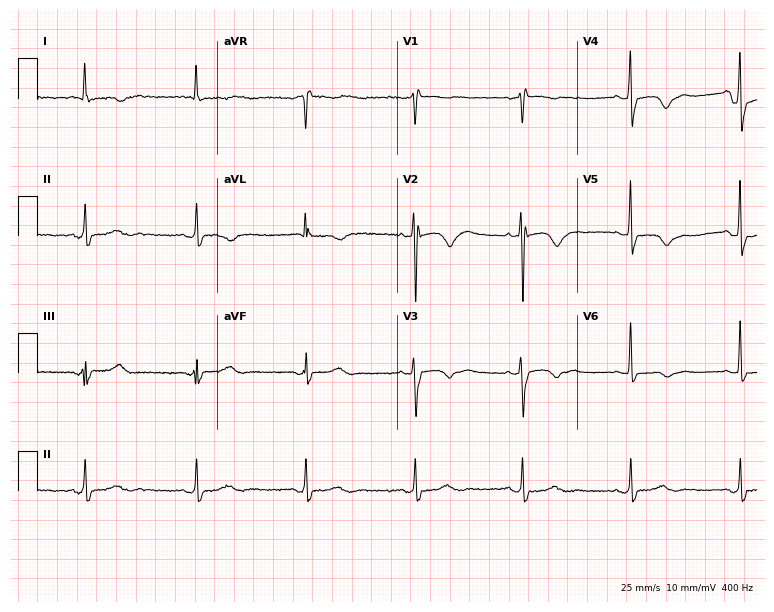
Resting 12-lead electrocardiogram. Patient: a female, 66 years old. None of these six findings is recorded: first-degree AV block, right bundle branch block, left bundle branch block, sinus bradycardia, atrial fibrillation, sinus tachycardia.